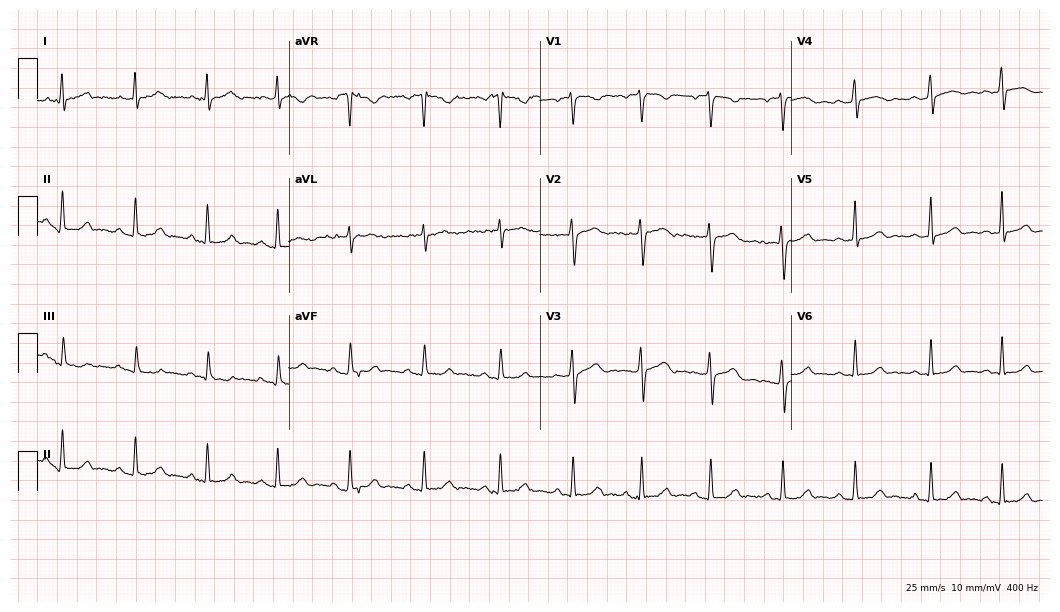
12-lead ECG (10.2-second recording at 400 Hz) from a female, 20 years old. Labelled as a normal ECG.